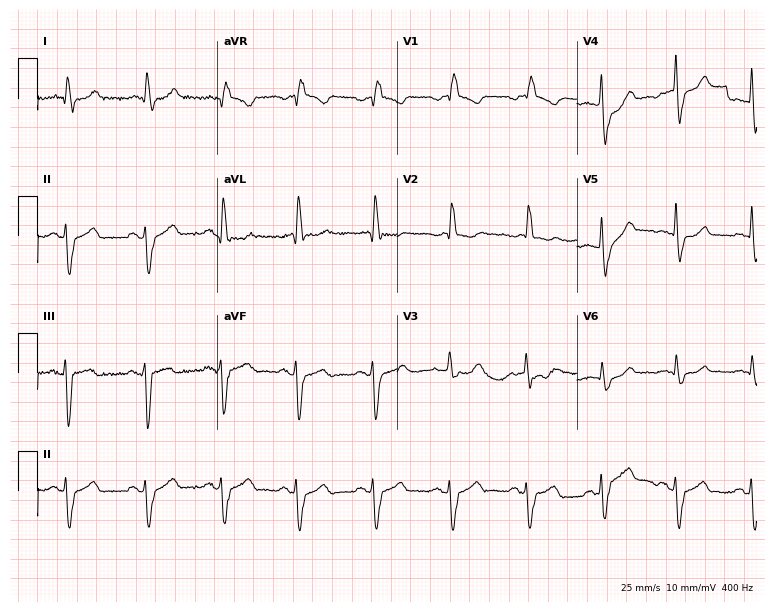
Standard 12-lead ECG recorded from a 73-year-old male patient. The tracing shows right bundle branch block (RBBB).